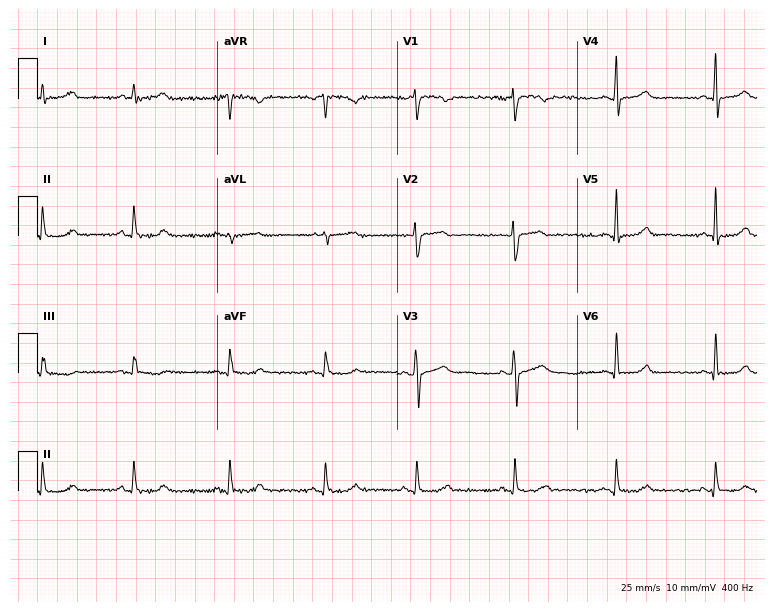
Resting 12-lead electrocardiogram. Patient: a woman, 26 years old. Read as a normal ECG.